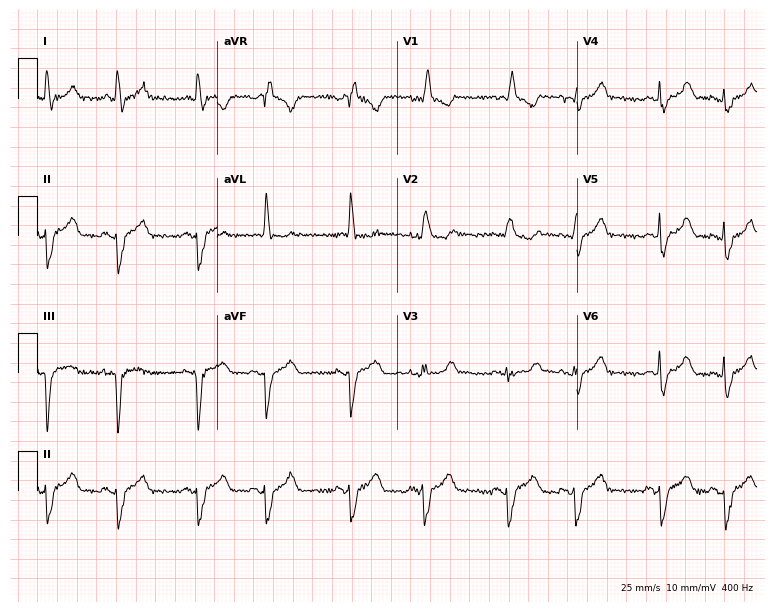
Standard 12-lead ECG recorded from a 72-year-old female patient (7.3-second recording at 400 Hz). The tracing shows right bundle branch block (RBBB).